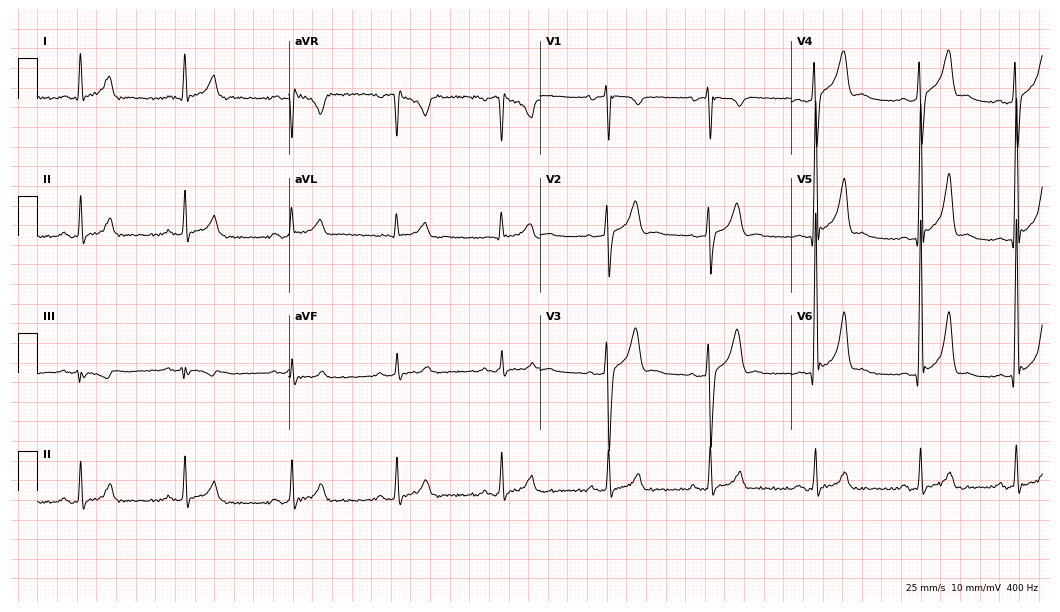
Electrocardiogram, a 49-year-old man. Of the six screened findings (first-degree AV block, right bundle branch block, left bundle branch block, sinus bradycardia, atrial fibrillation, sinus tachycardia), none is recorded. Only these six findings were labelled.